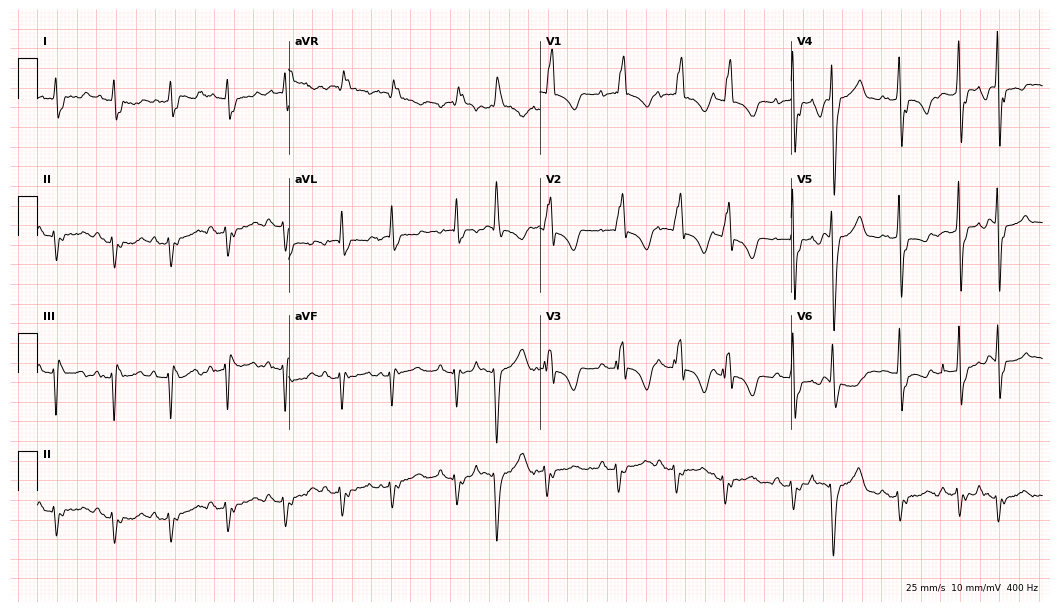
12-lead ECG from a female patient, 60 years old. No first-degree AV block, right bundle branch block, left bundle branch block, sinus bradycardia, atrial fibrillation or sinus tachycardia recorded for this tracing. Findings outside these six are not listed.